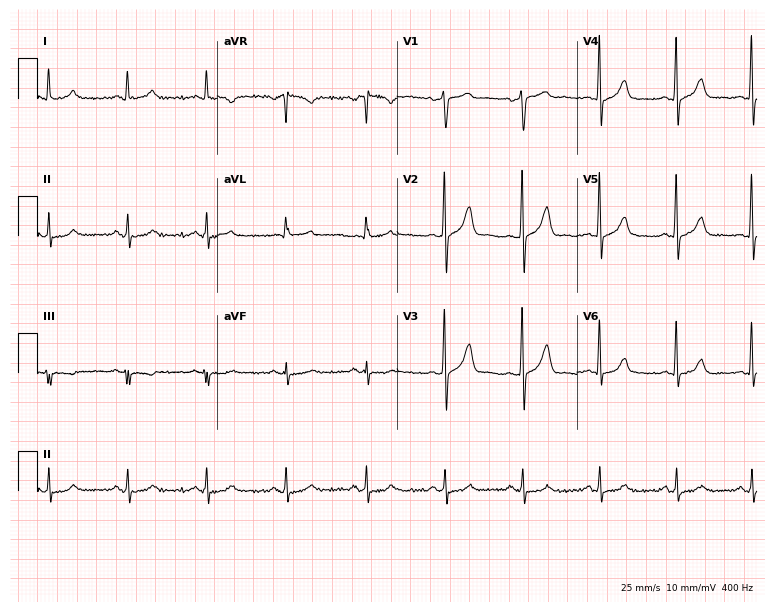
Standard 12-lead ECG recorded from a 59-year-old man. Read as a normal ECG.